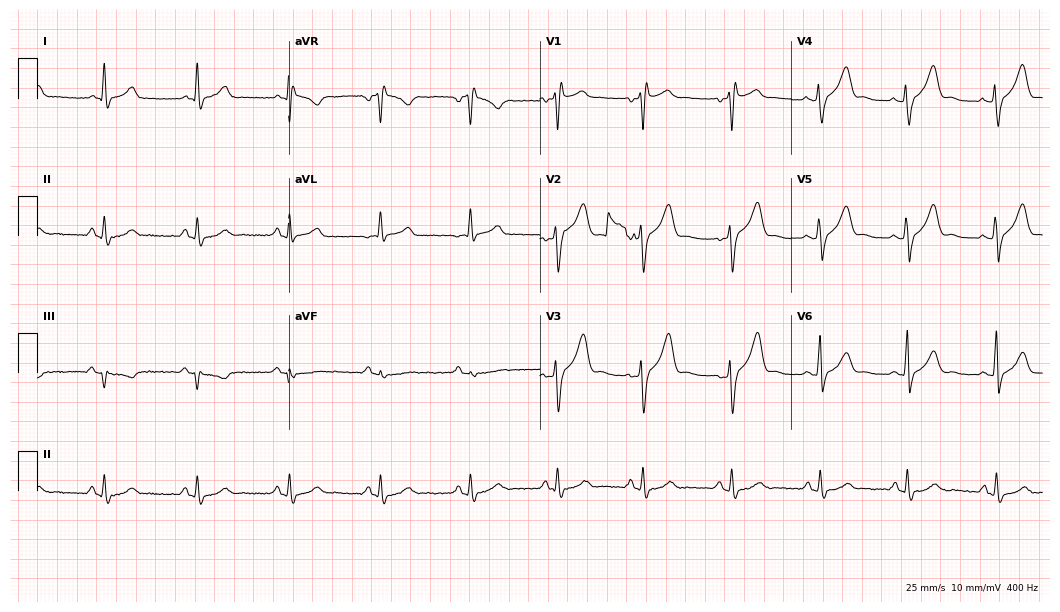
ECG (10.2-second recording at 400 Hz) — a male, 55 years old. Findings include right bundle branch block.